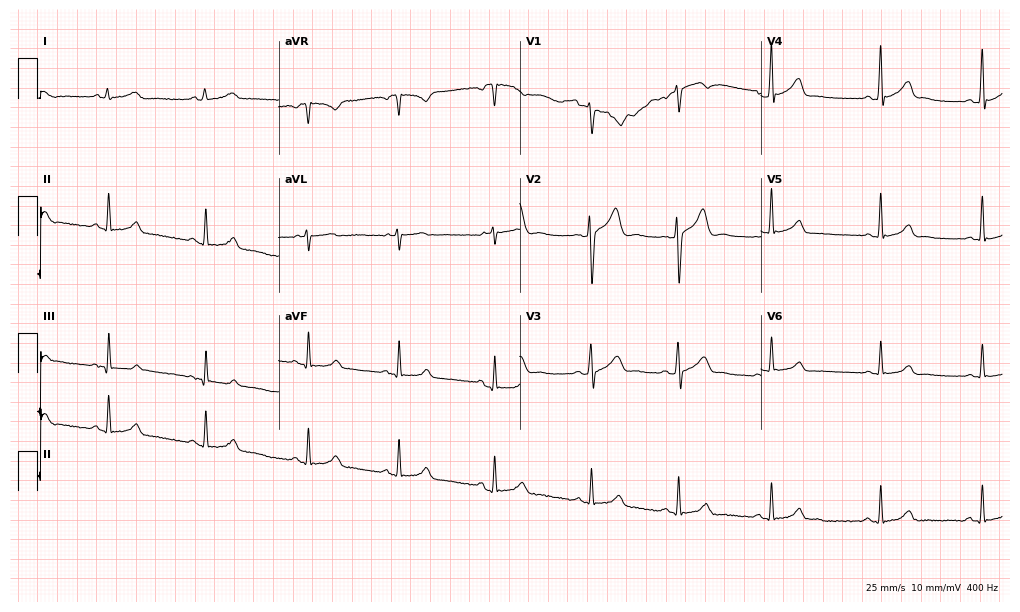
ECG — a 27-year-old man. Labelled as a normal ECG.